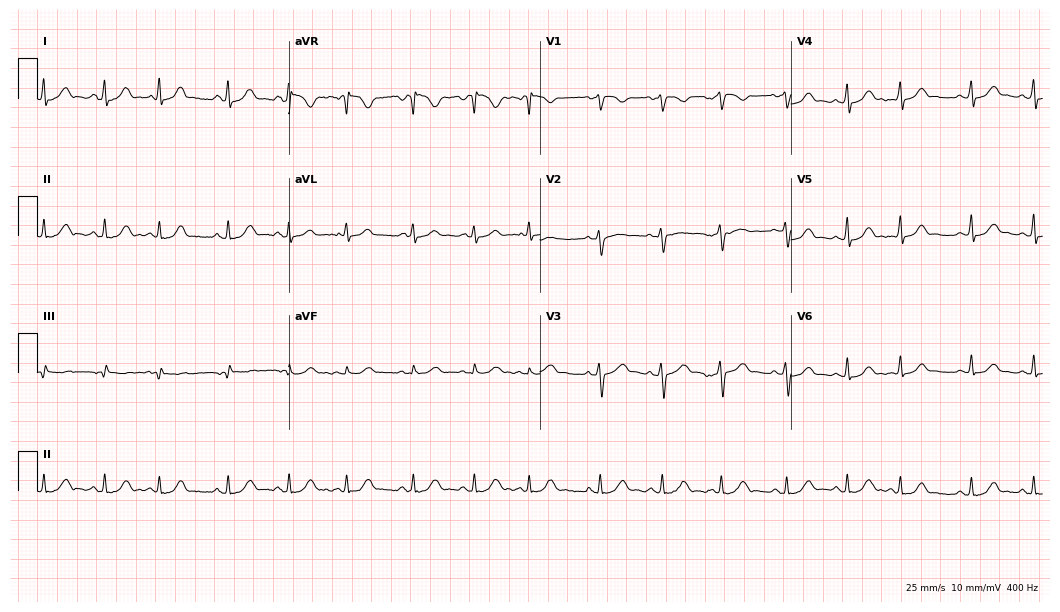
12-lead ECG from a female, 27 years old. Recorded interpretation: within normal limits.